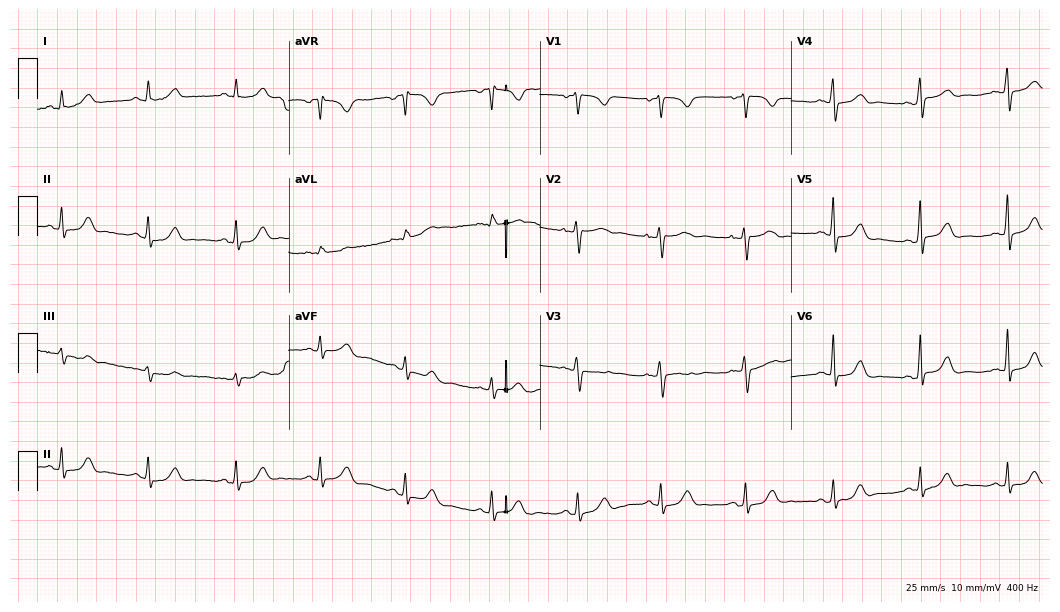
Standard 12-lead ECG recorded from a 41-year-old female (10.2-second recording at 400 Hz). Read as a normal ECG.